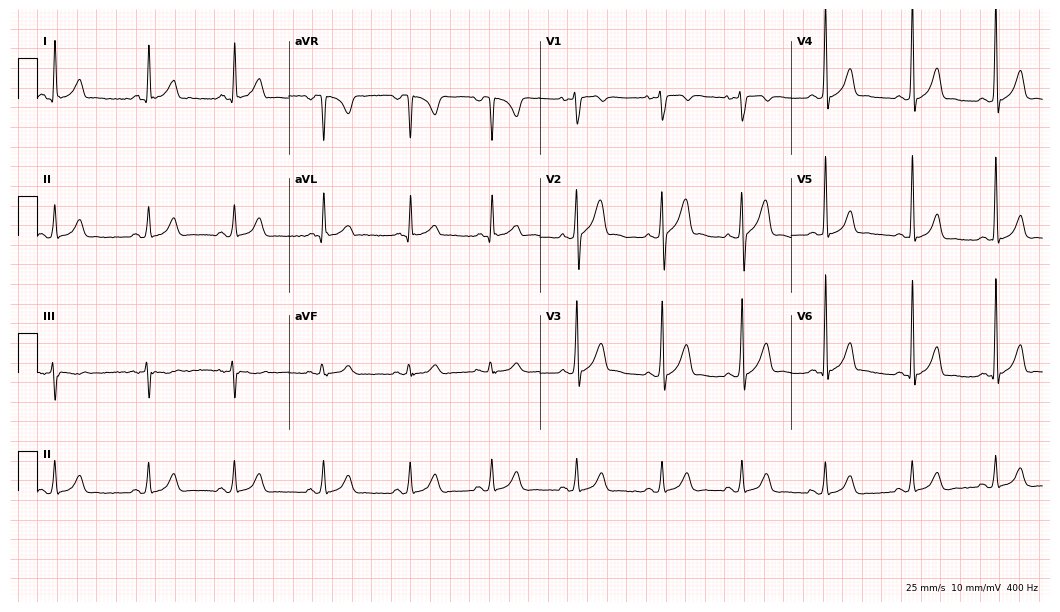
Standard 12-lead ECG recorded from a male, 30 years old (10.2-second recording at 400 Hz). Read as a normal ECG.